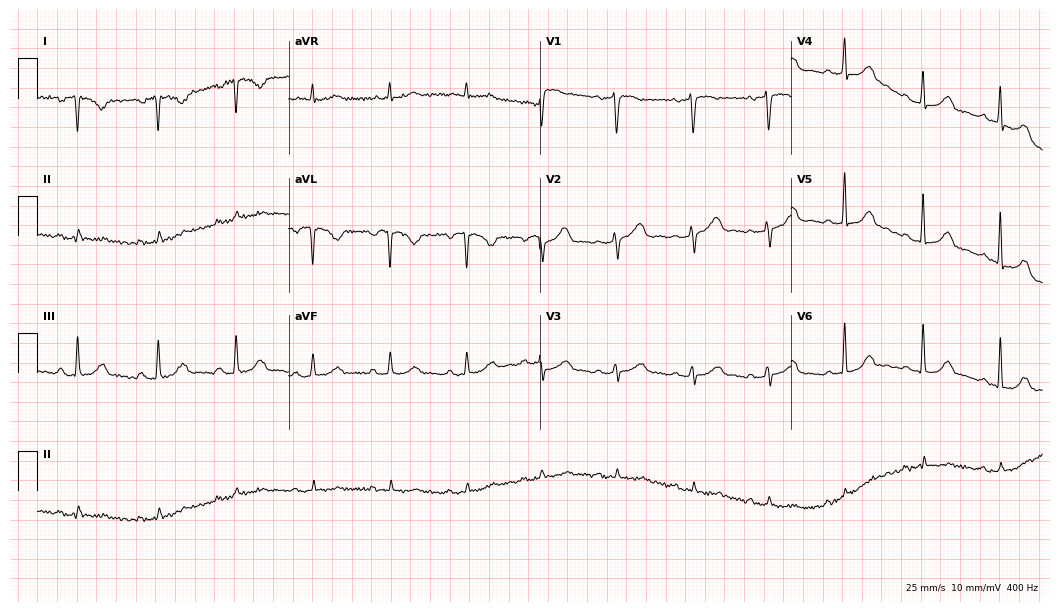
ECG (10.2-second recording at 400 Hz) — a female, 46 years old. Screened for six findings — first-degree AV block, right bundle branch block, left bundle branch block, sinus bradycardia, atrial fibrillation, sinus tachycardia — none is recorded. Other findings, if any, are not listed.